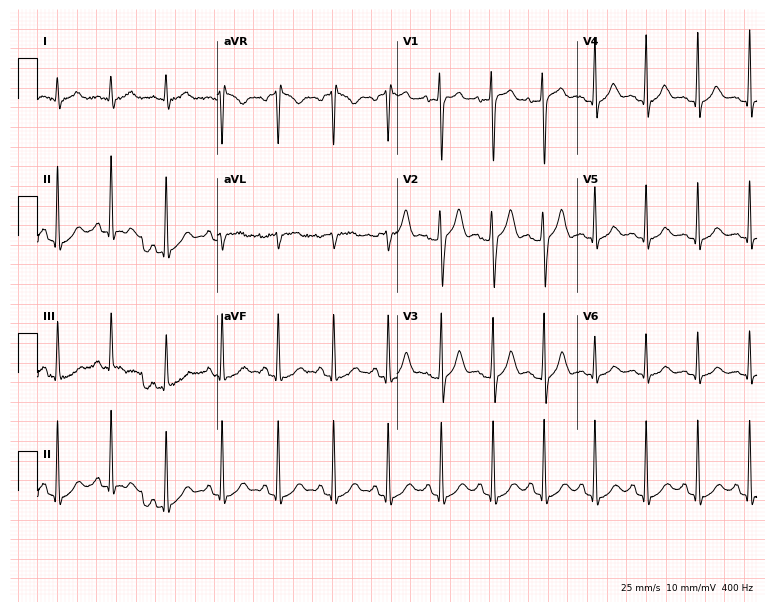
Electrocardiogram (7.3-second recording at 400 Hz), a 37-year-old female patient. Interpretation includes sinus tachycardia (a sinus rate of 100 beats per minute or more).